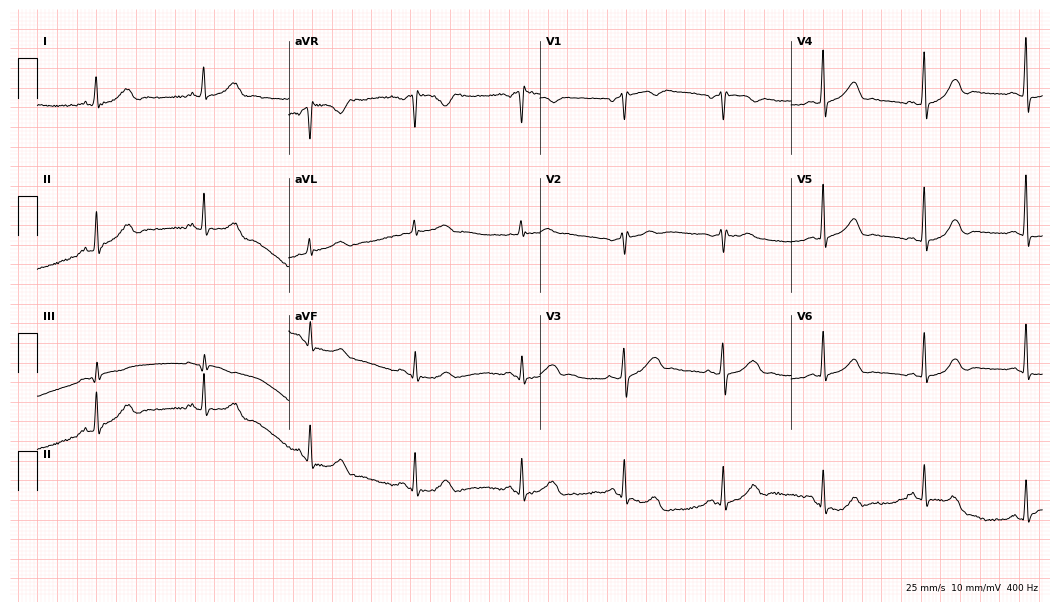
Standard 12-lead ECG recorded from a woman, 53 years old. Read as a normal ECG.